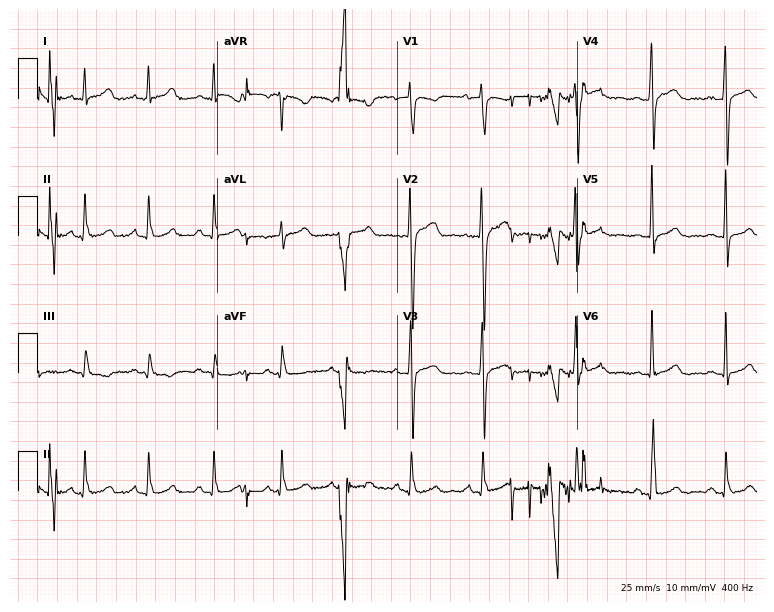
12-lead ECG (7.3-second recording at 400 Hz) from a male, 25 years old. Labelled as a normal ECG.